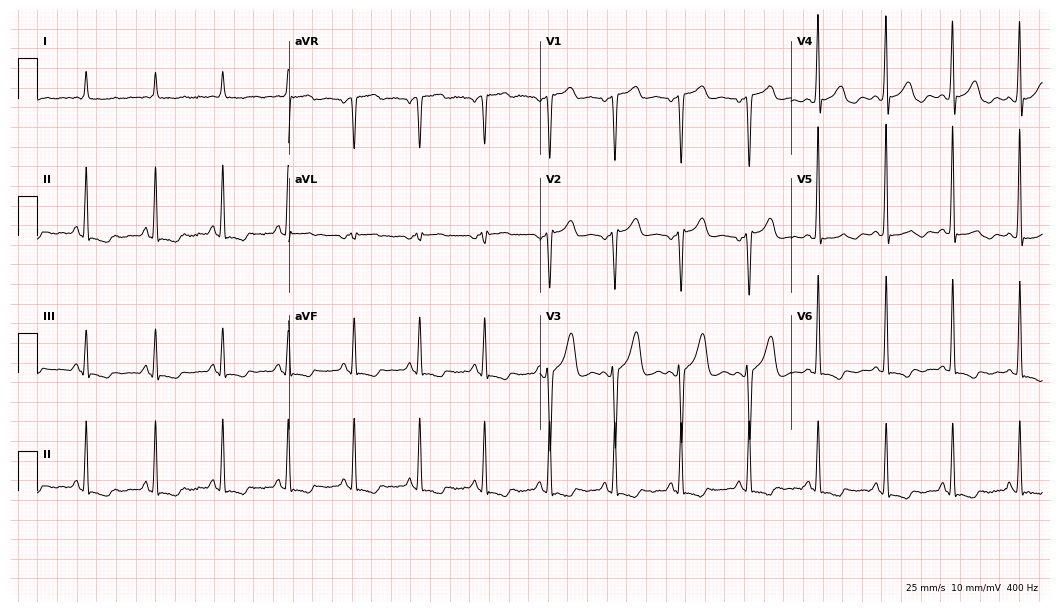
Electrocardiogram, a female, 42 years old. Of the six screened findings (first-degree AV block, right bundle branch block, left bundle branch block, sinus bradycardia, atrial fibrillation, sinus tachycardia), none is recorded. Other findings, if any, are not listed.